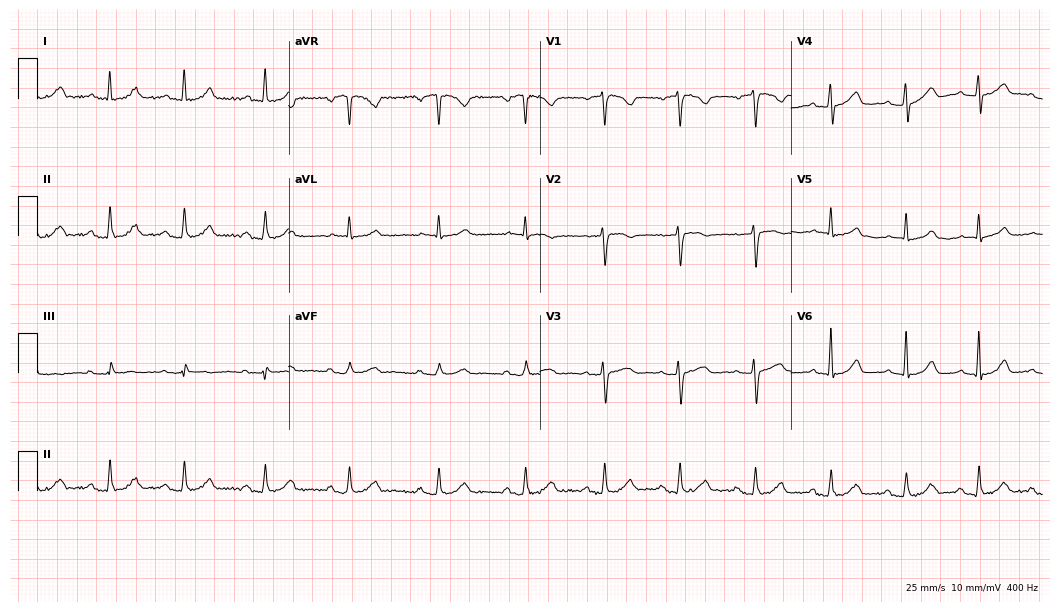
Electrocardiogram, a female, 80 years old. Overall reading on record: normal ECG.